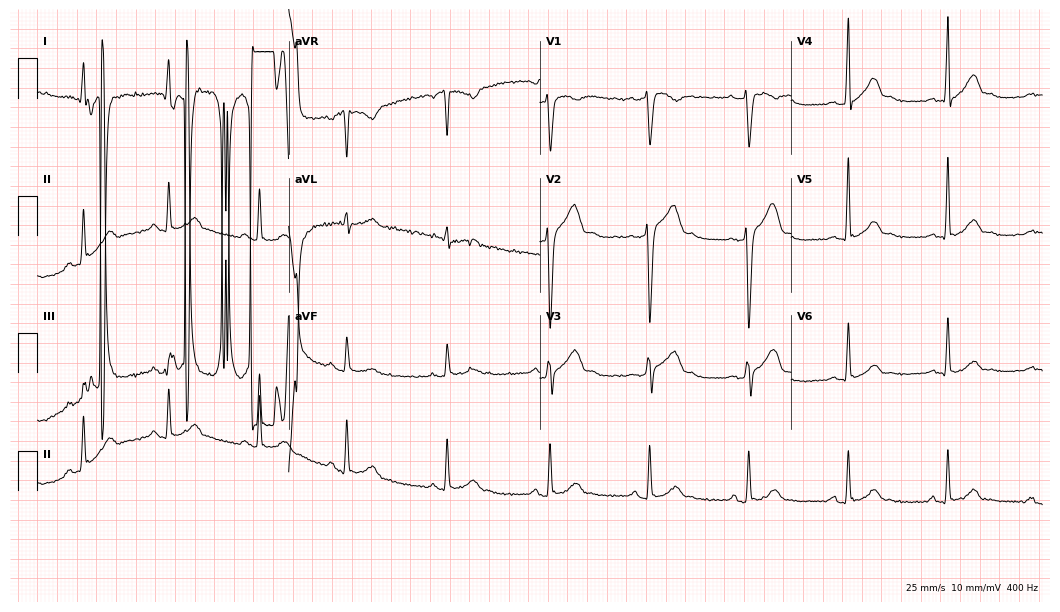
ECG (10.2-second recording at 400 Hz) — a man, 30 years old. Screened for six findings — first-degree AV block, right bundle branch block, left bundle branch block, sinus bradycardia, atrial fibrillation, sinus tachycardia — none is recorded. Findings outside these six are not listed.